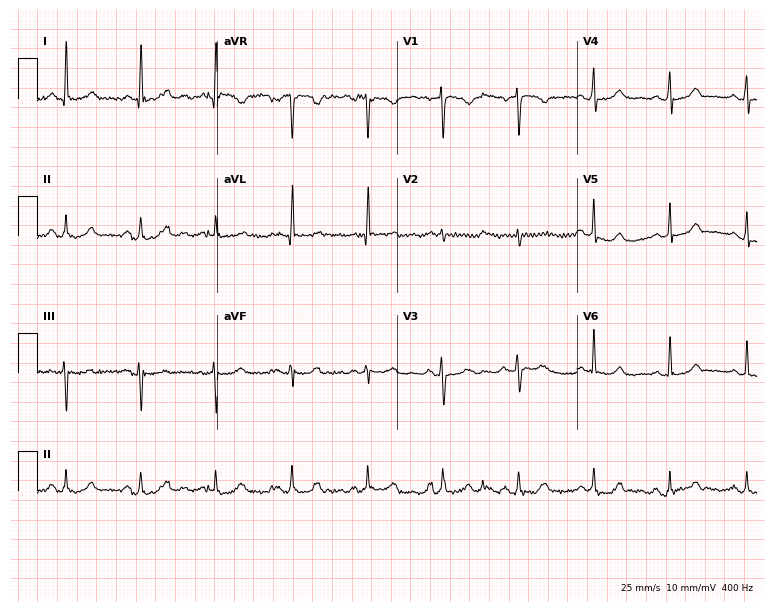
Standard 12-lead ECG recorded from a female, 57 years old. Read as a normal ECG.